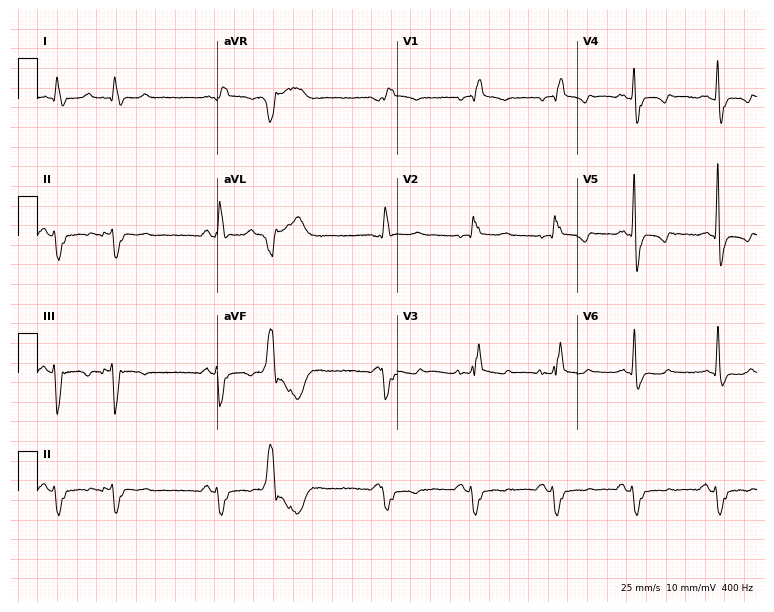
Electrocardiogram (7.3-second recording at 400 Hz), an 81-year-old female patient. Interpretation includes right bundle branch block.